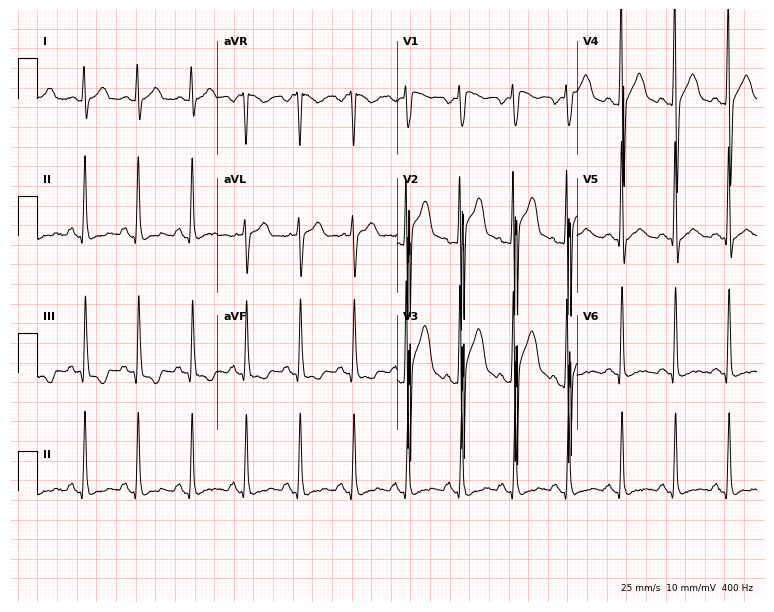
12-lead ECG from a 31-year-old male patient. Shows sinus tachycardia (a sinus rate of 100 beats per minute or more).